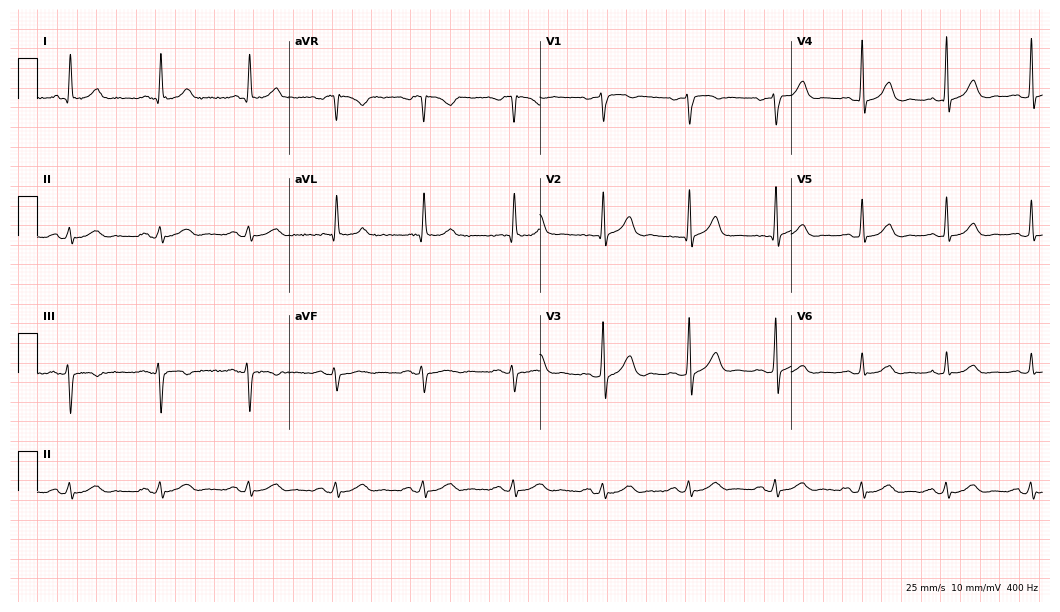
Electrocardiogram, an 80-year-old male. Of the six screened findings (first-degree AV block, right bundle branch block, left bundle branch block, sinus bradycardia, atrial fibrillation, sinus tachycardia), none is recorded. Only these six findings were labelled.